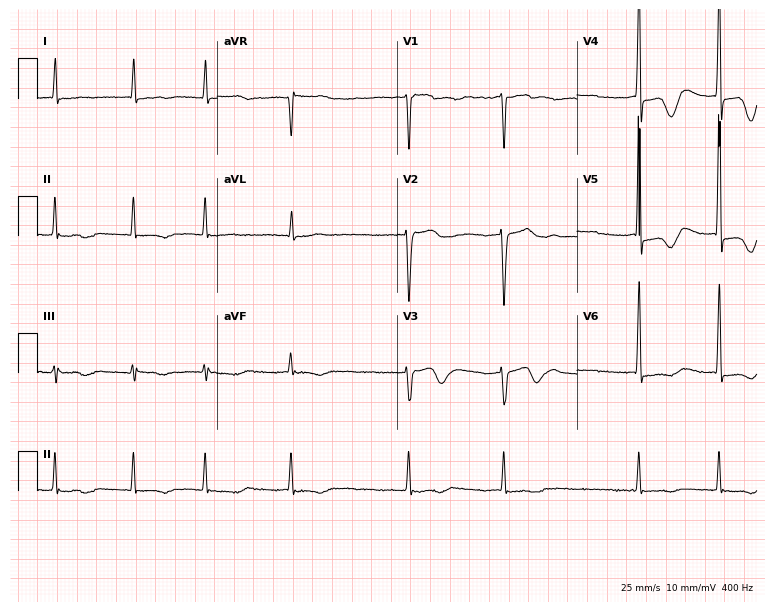
12-lead ECG from a female, 81 years old. Shows atrial fibrillation.